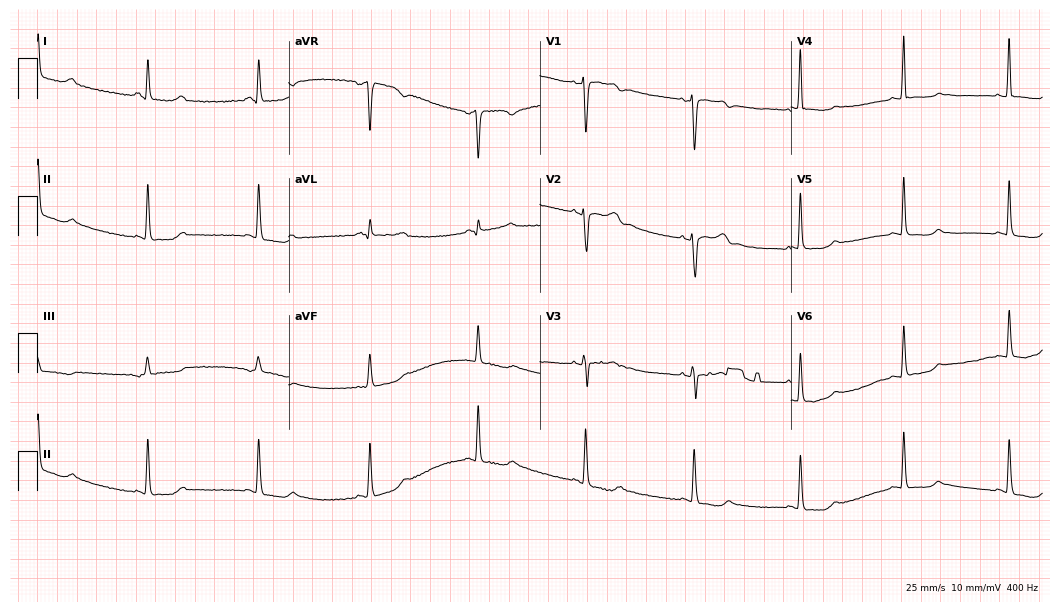
12-lead ECG (10.2-second recording at 400 Hz) from a 51-year-old woman. Labelled as a normal ECG.